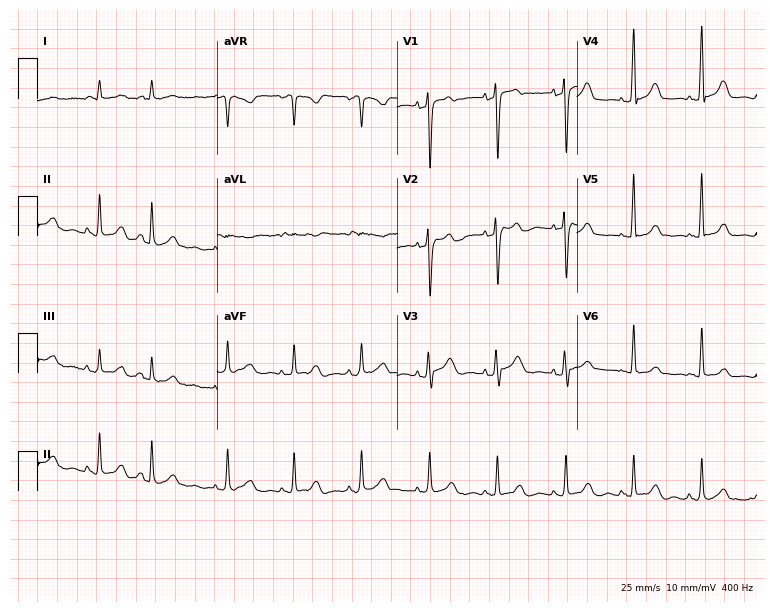
ECG — a woman, 69 years old. Screened for six findings — first-degree AV block, right bundle branch block (RBBB), left bundle branch block (LBBB), sinus bradycardia, atrial fibrillation (AF), sinus tachycardia — none is recorded. Findings outside these six are not listed.